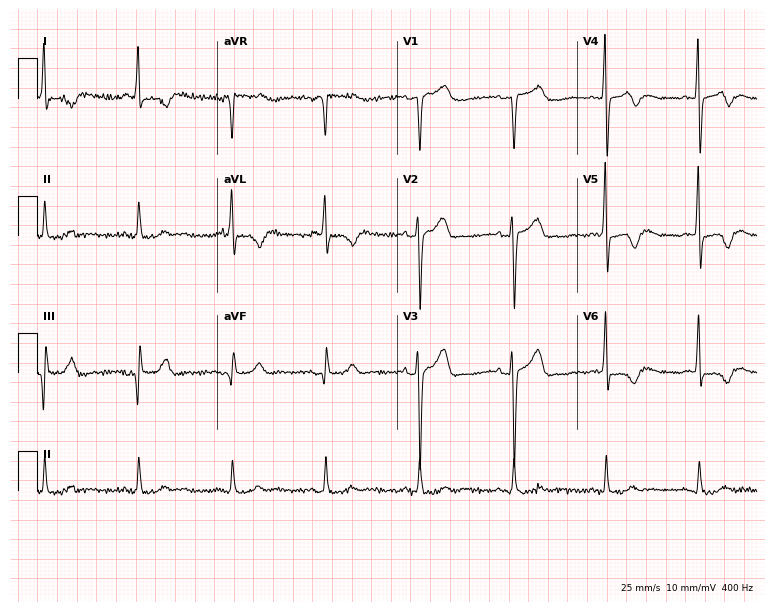
12-lead ECG (7.3-second recording at 400 Hz) from a 66-year-old female. Screened for six findings — first-degree AV block, right bundle branch block, left bundle branch block, sinus bradycardia, atrial fibrillation, sinus tachycardia — none is recorded.